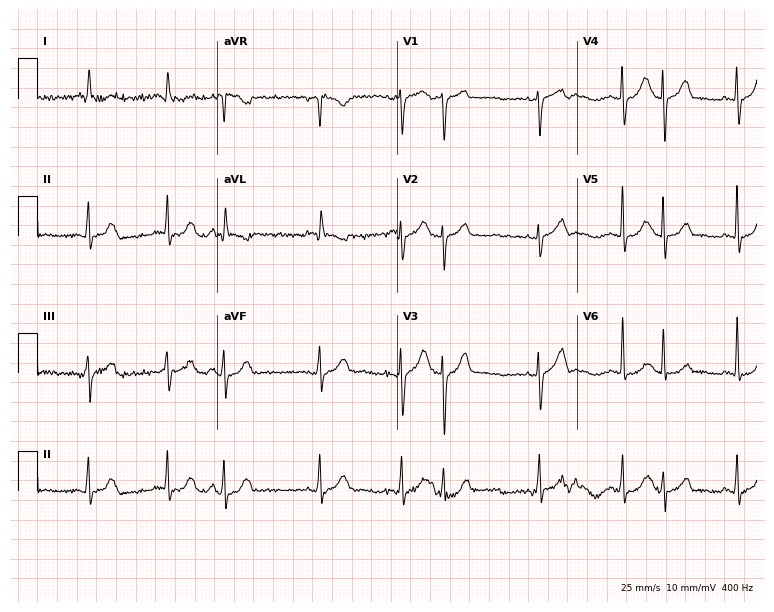
12-lead ECG from a female, 80 years old. No first-degree AV block, right bundle branch block (RBBB), left bundle branch block (LBBB), sinus bradycardia, atrial fibrillation (AF) or sinus tachycardia recorded for this tracing. Other findings, if any, are not listed.